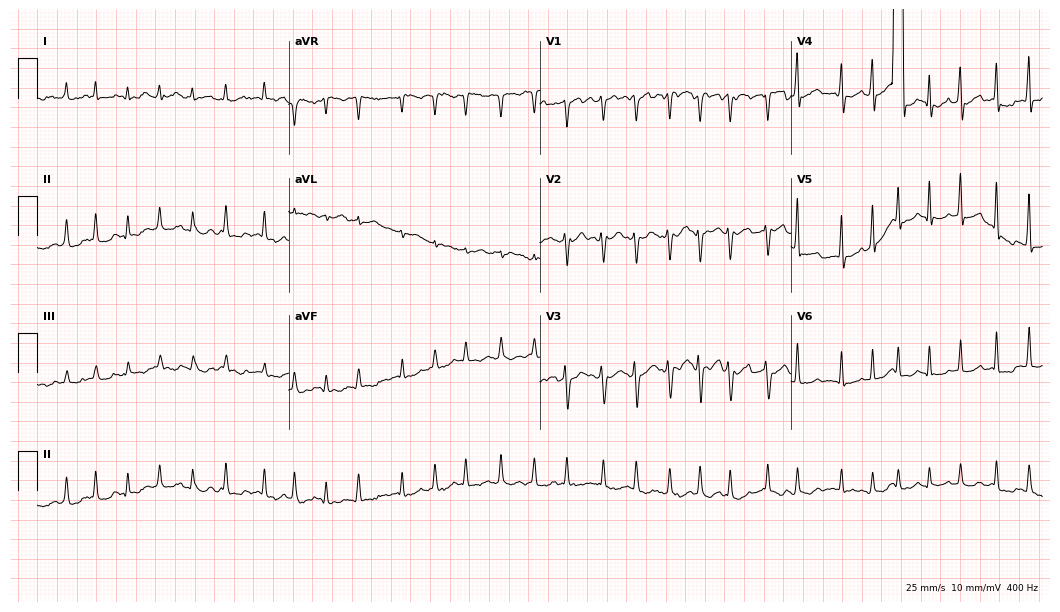
12-lead ECG (10.2-second recording at 400 Hz) from an 80-year-old female. Findings include atrial fibrillation (AF).